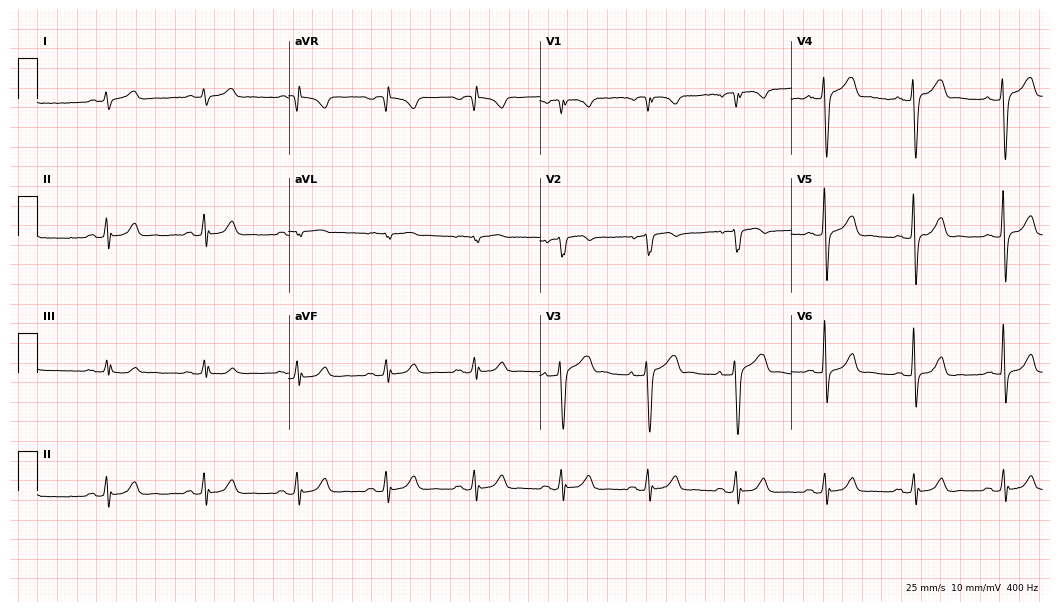
Resting 12-lead electrocardiogram (10.2-second recording at 400 Hz). Patient: a 65-year-old man. Read as a normal ECG.